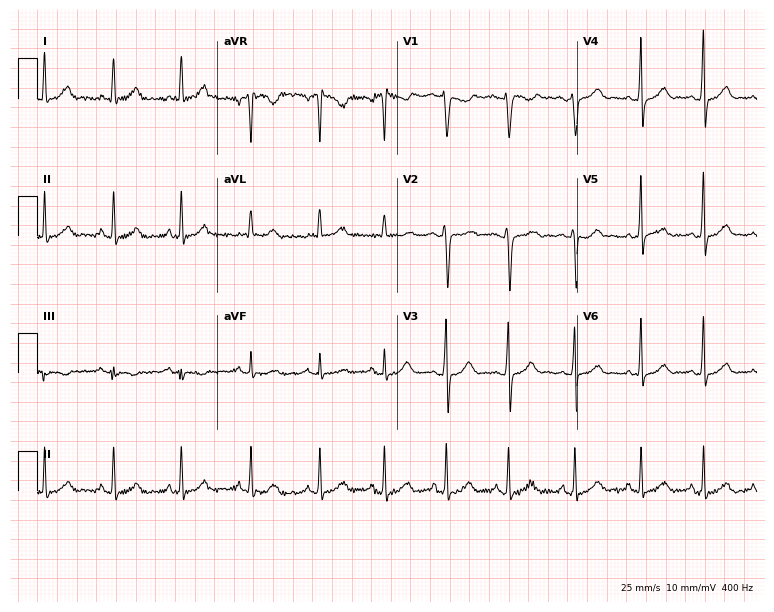
12-lead ECG from a woman, 27 years old (7.3-second recording at 400 Hz). Recorded interpretation: within normal limits.